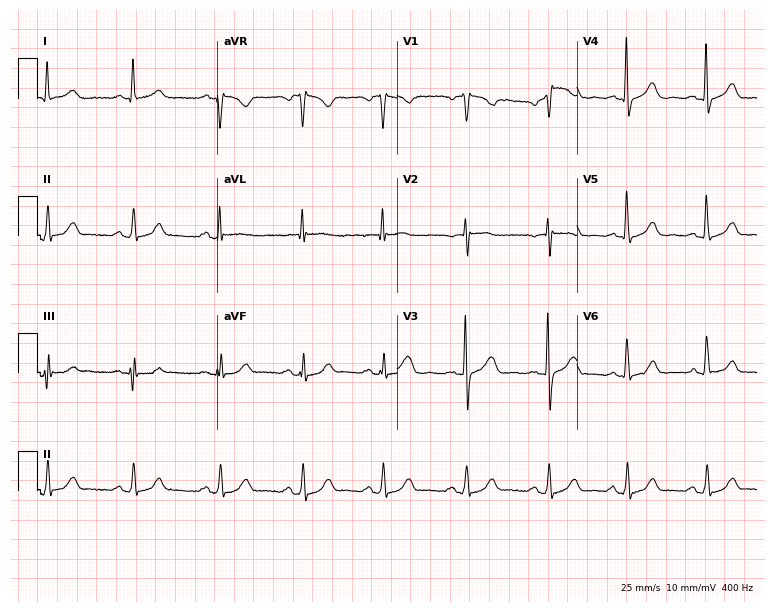
12-lead ECG from a 61-year-old female. Recorded interpretation: within normal limits.